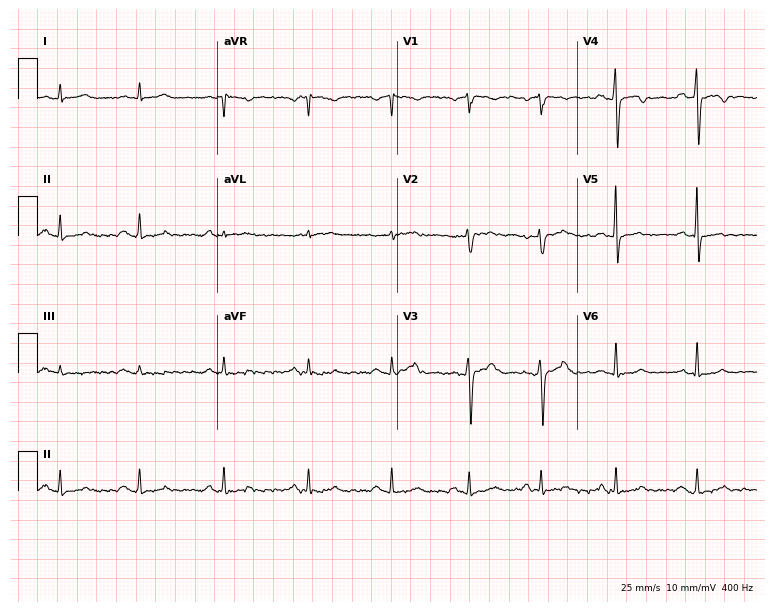
Resting 12-lead electrocardiogram. Patient: a 38-year-old female. Read as a normal ECG.